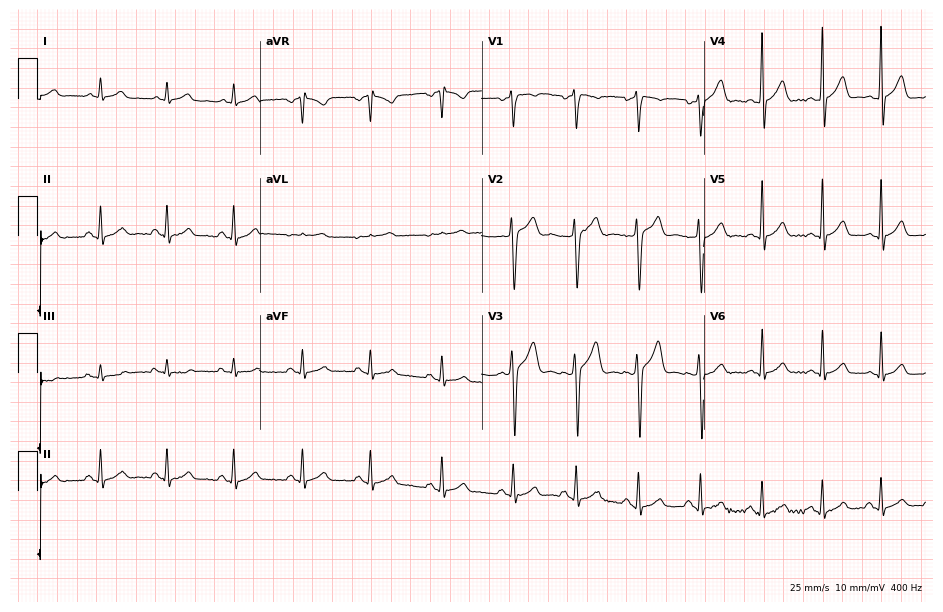
Resting 12-lead electrocardiogram. Patient: a 21-year-old male. None of these six findings is recorded: first-degree AV block, right bundle branch block, left bundle branch block, sinus bradycardia, atrial fibrillation, sinus tachycardia.